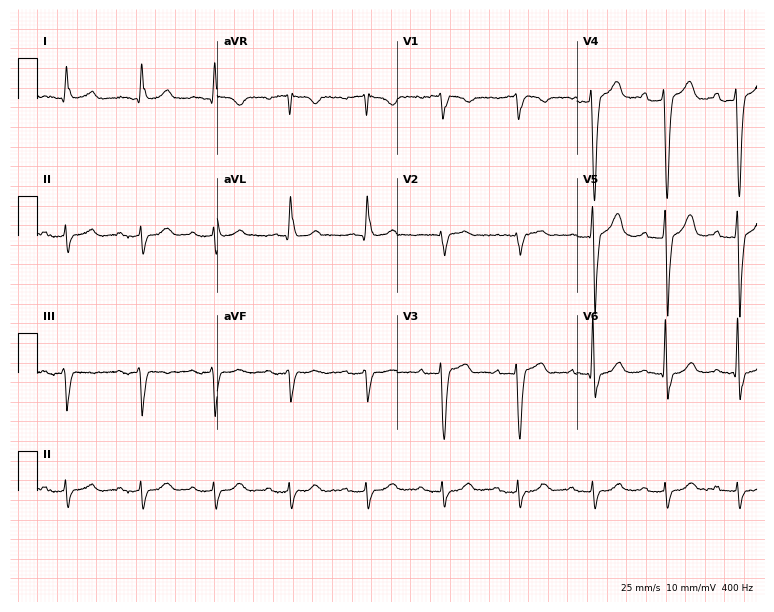
Resting 12-lead electrocardiogram. Patient: a male, 66 years old. The tracing shows first-degree AV block.